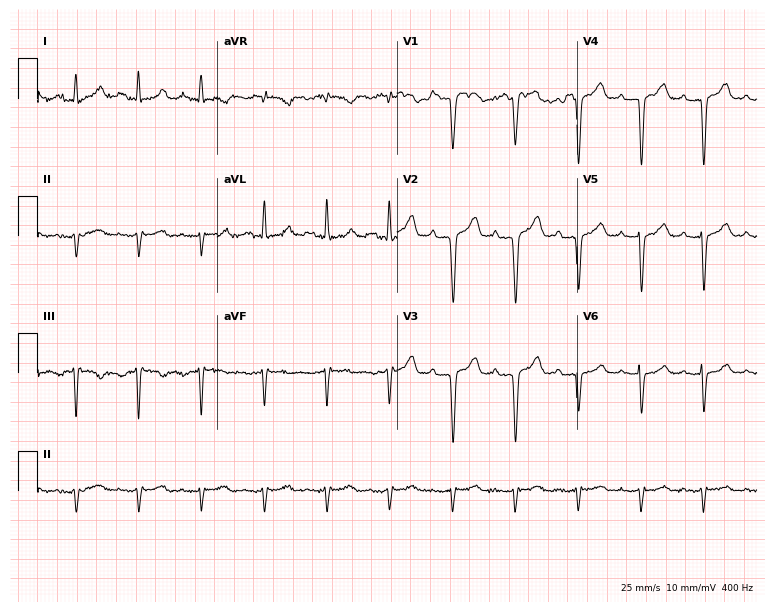
Resting 12-lead electrocardiogram (7.3-second recording at 400 Hz). Patient: a male, 65 years old. None of these six findings is recorded: first-degree AV block, right bundle branch block (RBBB), left bundle branch block (LBBB), sinus bradycardia, atrial fibrillation (AF), sinus tachycardia.